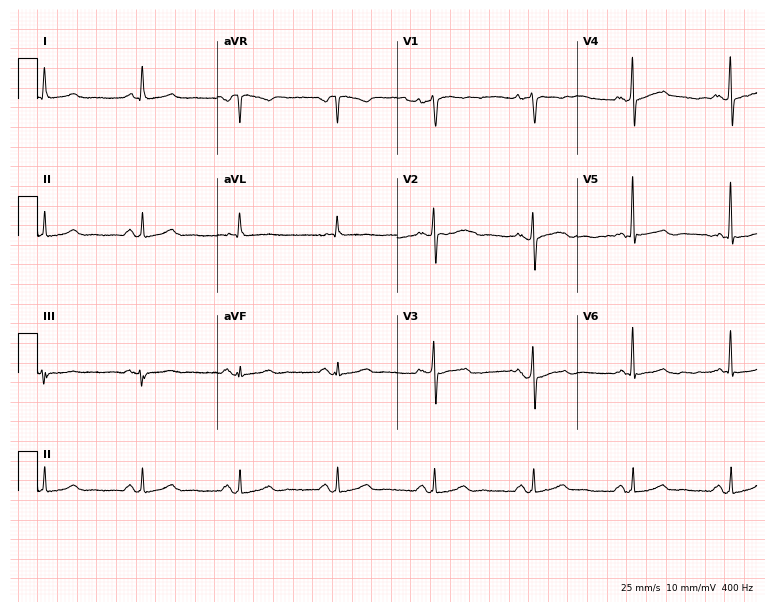
Resting 12-lead electrocardiogram (7.3-second recording at 400 Hz). Patient: a 63-year-old female. None of these six findings is recorded: first-degree AV block, right bundle branch block (RBBB), left bundle branch block (LBBB), sinus bradycardia, atrial fibrillation (AF), sinus tachycardia. Findings outside these six are not listed.